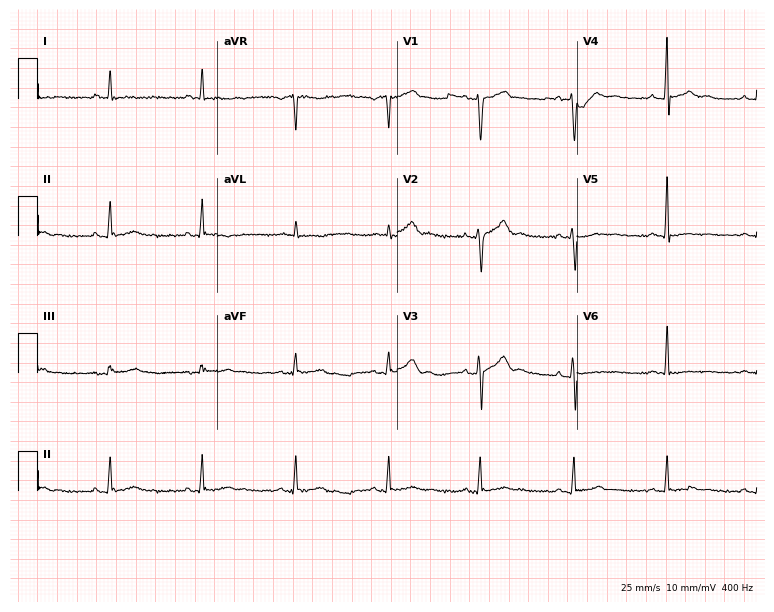
ECG — a 48-year-old male. Labelled as a normal ECG.